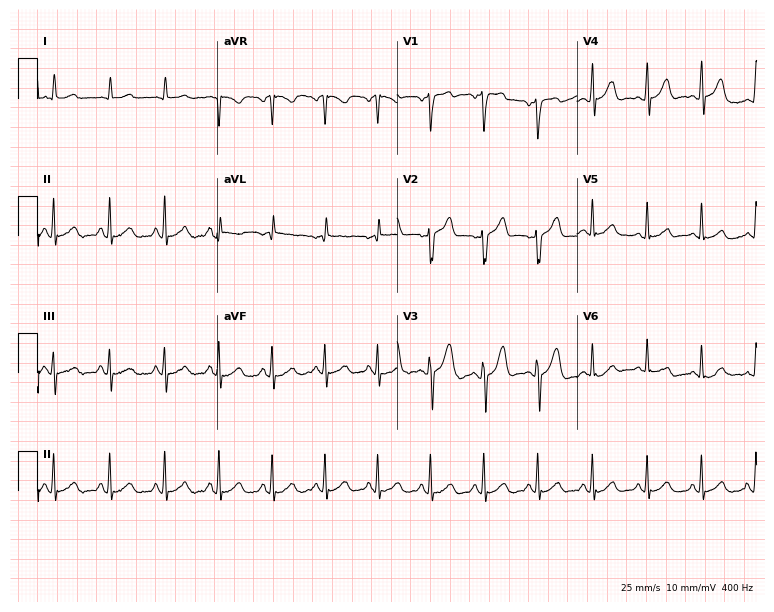
Electrocardiogram, a male patient, 50 years old. Interpretation includes sinus tachycardia (a sinus rate of 100 beats per minute or more).